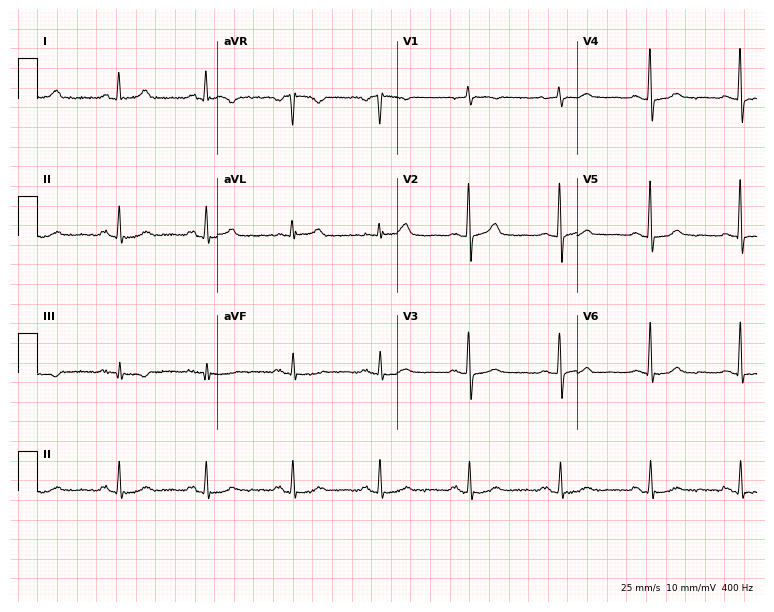
12-lead ECG (7.3-second recording at 400 Hz) from a 64-year-old female patient. Labelled as a normal ECG.